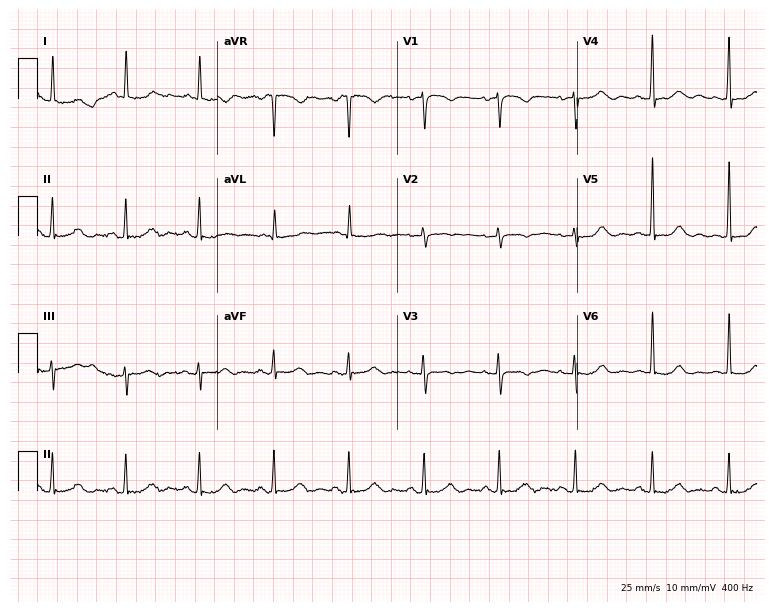
Resting 12-lead electrocardiogram. Patient: a female, 80 years old. None of these six findings is recorded: first-degree AV block, right bundle branch block, left bundle branch block, sinus bradycardia, atrial fibrillation, sinus tachycardia.